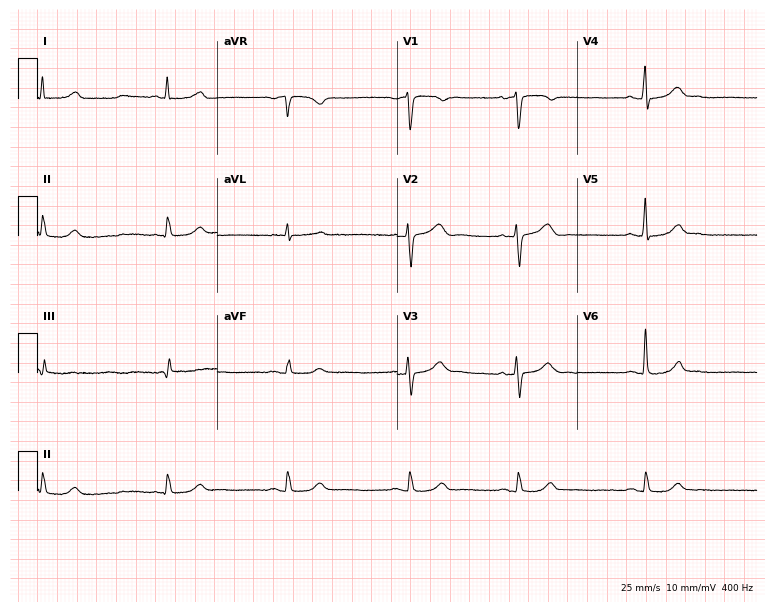
Resting 12-lead electrocardiogram (7.3-second recording at 400 Hz). Patient: a 38-year-old male. The tracing shows sinus bradycardia (a sinus rate of 50 beats per minute or less).